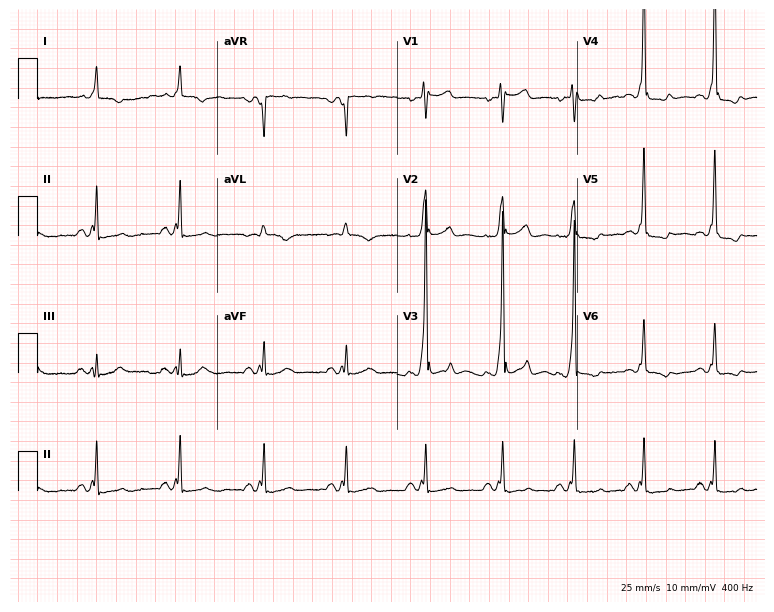
Standard 12-lead ECG recorded from a male, 70 years old. None of these six findings is recorded: first-degree AV block, right bundle branch block, left bundle branch block, sinus bradycardia, atrial fibrillation, sinus tachycardia. Only these six findings were labelled.